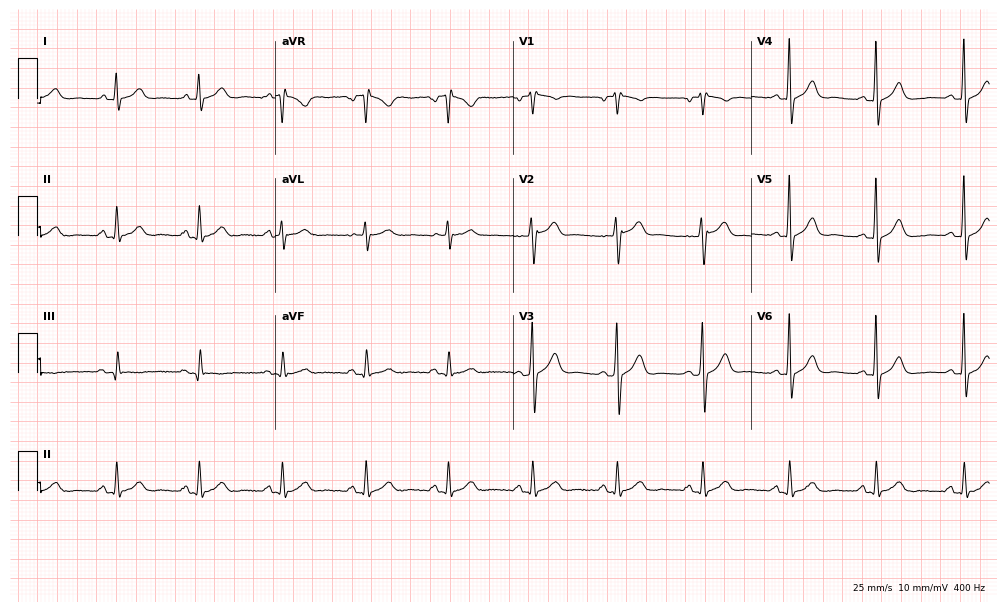
Resting 12-lead electrocardiogram (9.7-second recording at 400 Hz). Patient: a male, 26 years old. Read as a normal ECG.